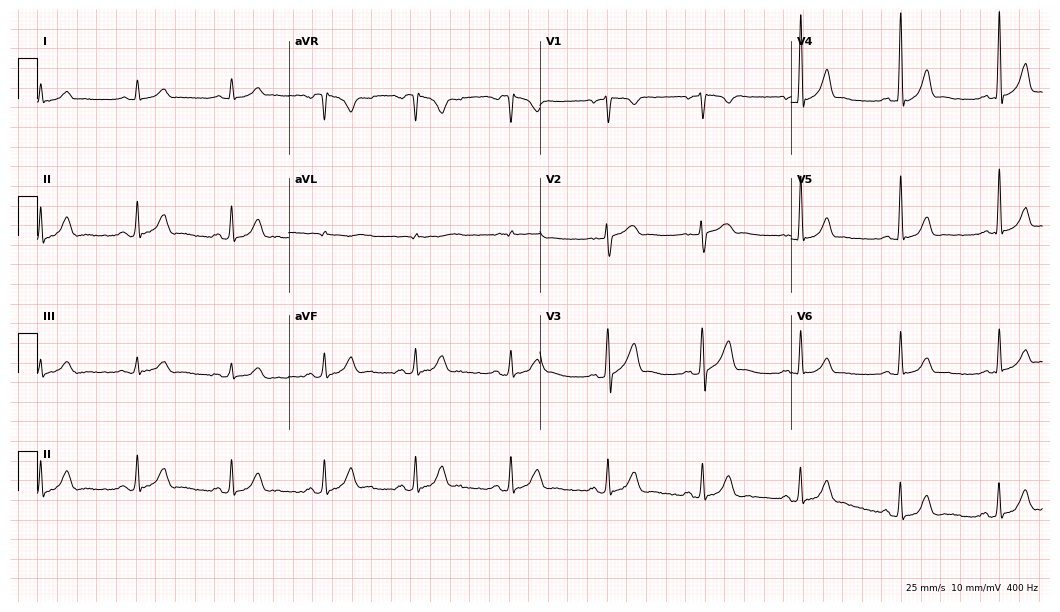
Electrocardiogram (10.2-second recording at 400 Hz), a 54-year-old man. Overall reading on record: normal ECG.